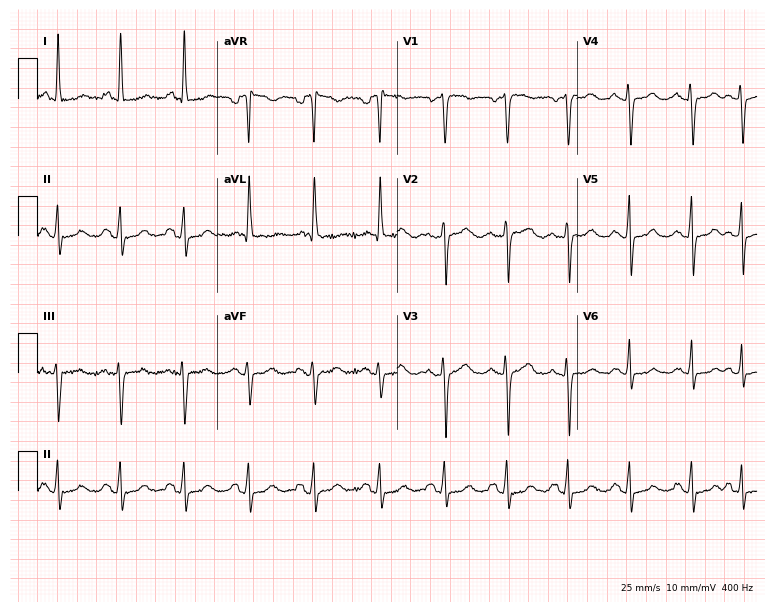
Electrocardiogram, a 60-year-old female patient. Overall reading on record: normal ECG.